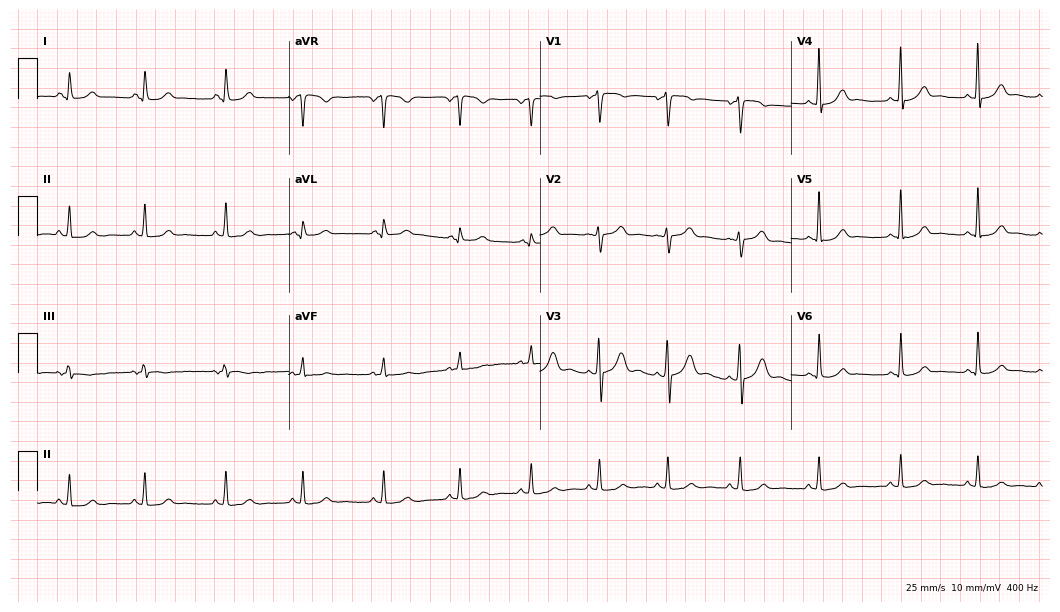
Standard 12-lead ECG recorded from a woman, 34 years old. None of these six findings is recorded: first-degree AV block, right bundle branch block, left bundle branch block, sinus bradycardia, atrial fibrillation, sinus tachycardia.